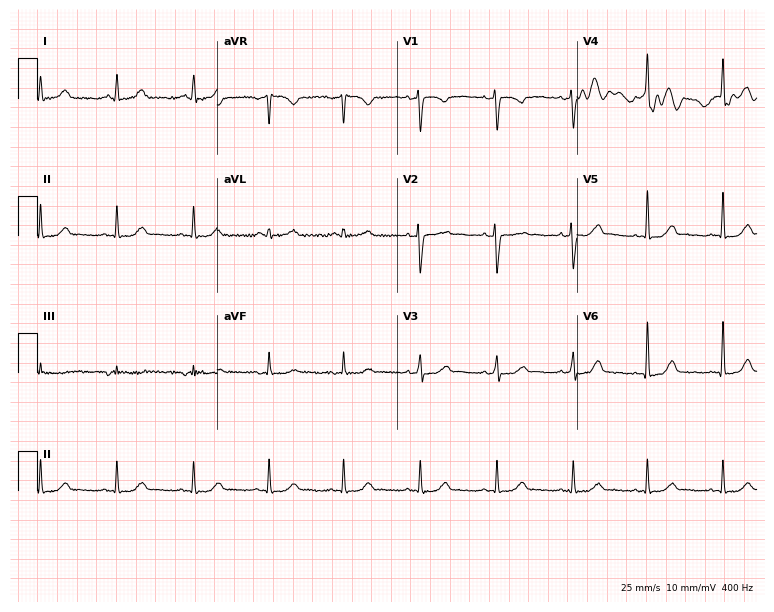
Electrocardiogram (7.3-second recording at 400 Hz), a 40-year-old female patient. Overall reading on record: normal ECG.